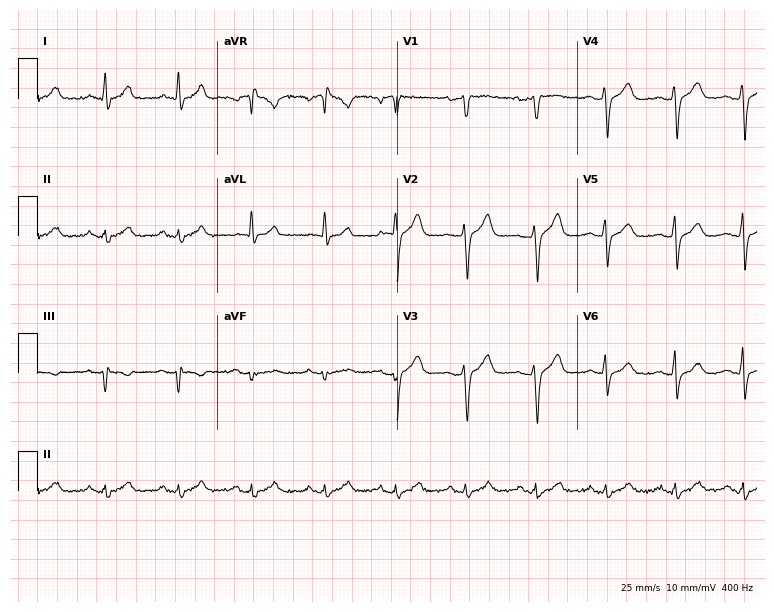
ECG (7.3-second recording at 400 Hz) — a man, 58 years old. Screened for six findings — first-degree AV block, right bundle branch block (RBBB), left bundle branch block (LBBB), sinus bradycardia, atrial fibrillation (AF), sinus tachycardia — none is recorded.